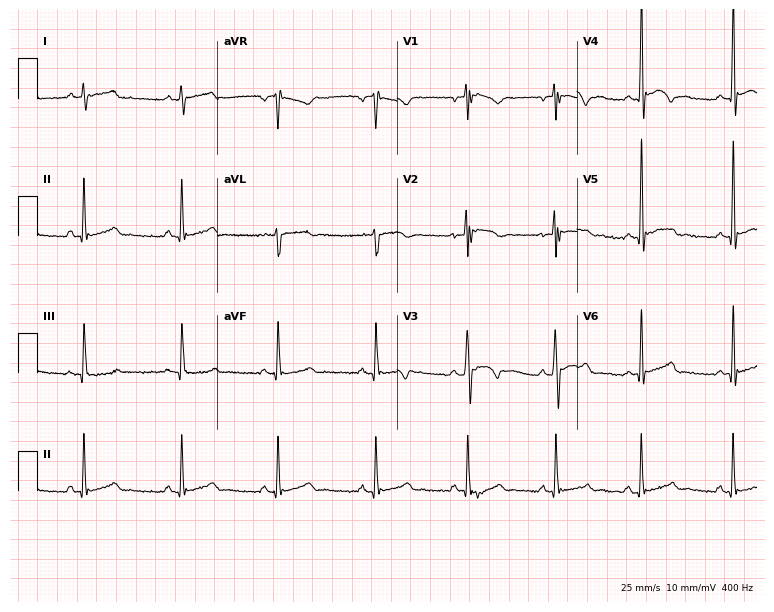
ECG (7.3-second recording at 400 Hz) — a male patient, 17 years old. Screened for six findings — first-degree AV block, right bundle branch block (RBBB), left bundle branch block (LBBB), sinus bradycardia, atrial fibrillation (AF), sinus tachycardia — none is recorded. Other findings, if any, are not listed.